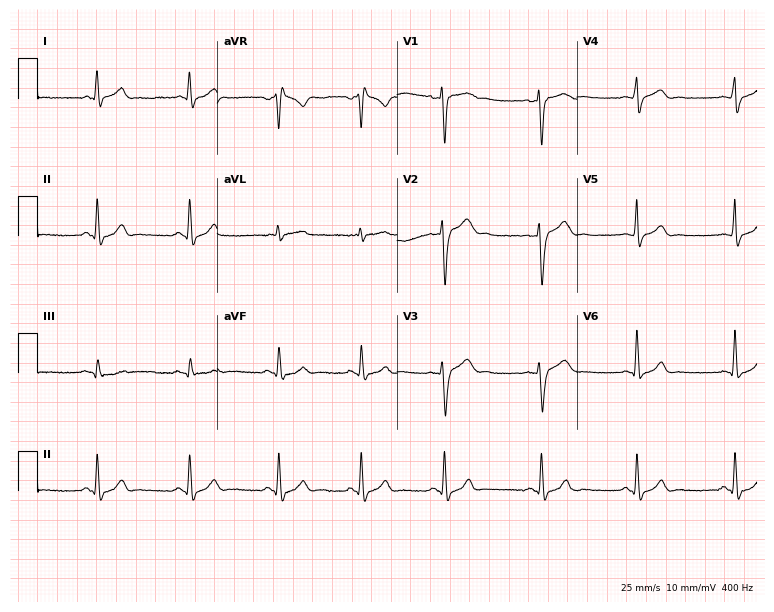
Standard 12-lead ECG recorded from a 29-year-old male (7.3-second recording at 400 Hz). None of these six findings is recorded: first-degree AV block, right bundle branch block (RBBB), left bundle branch block (LBBB), sinus bradycardia, atrial fibrillation (AF), sinus tachycardia. Other findings, if any, are not listed.